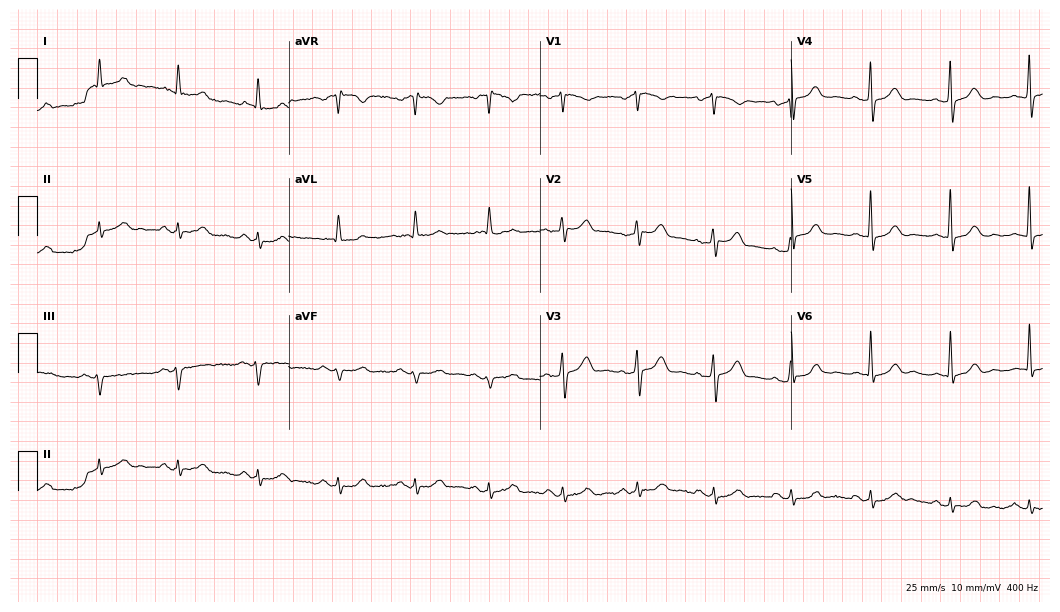
Standard 12-lead ECG recorded from a man, 59 years old. Read as a normal ECG.